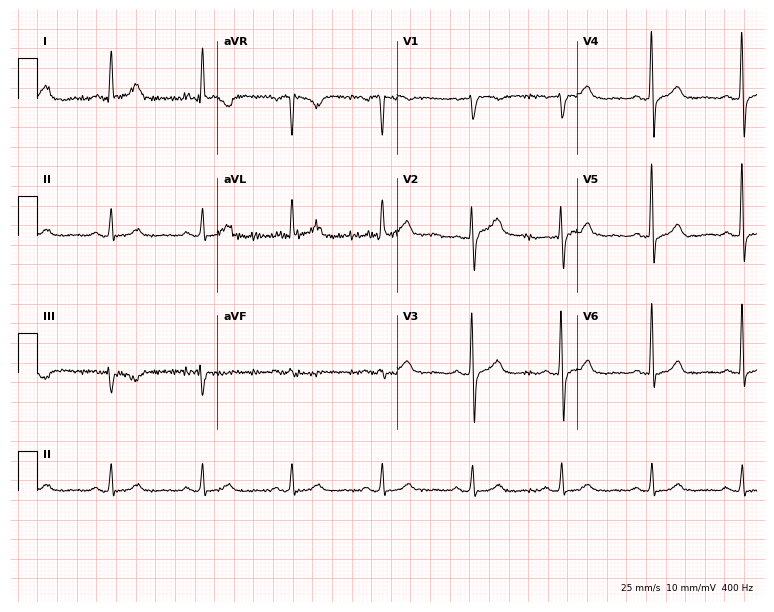
Electrocardiogram (7.3-second recording at 400 Hz), a 75-year-old female patient. Overall reading on record: normal ECG.